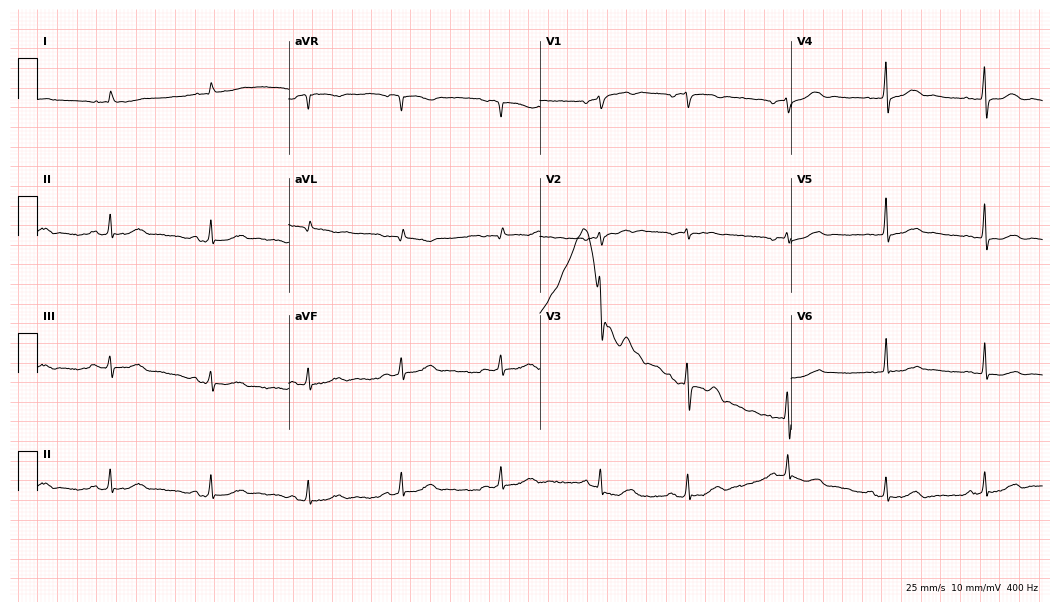
ECG (10.2-second recording at 400 Hz) — a 77-year-old male. Labelled as a normal ECG.